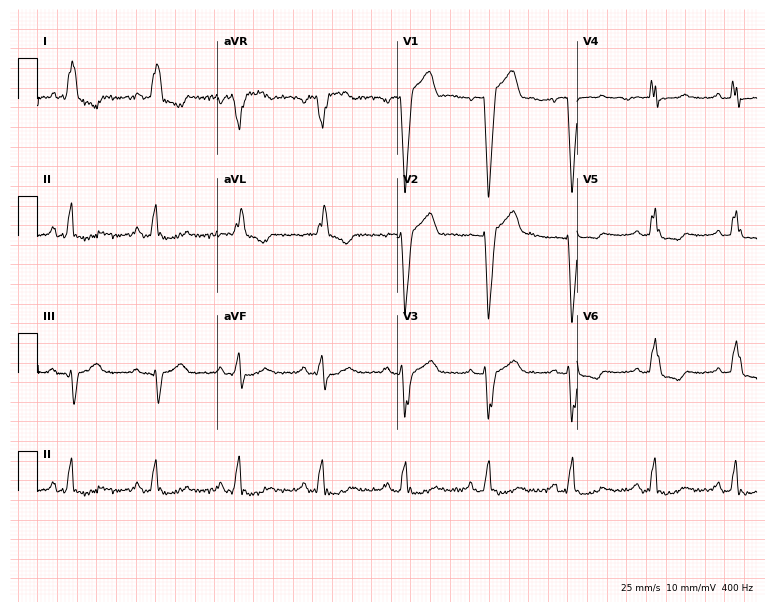
Electrocardiogram (7.3-second recording at 400 Hz), an 81-year-old male patient. Interpretation includes left bundle branch block.